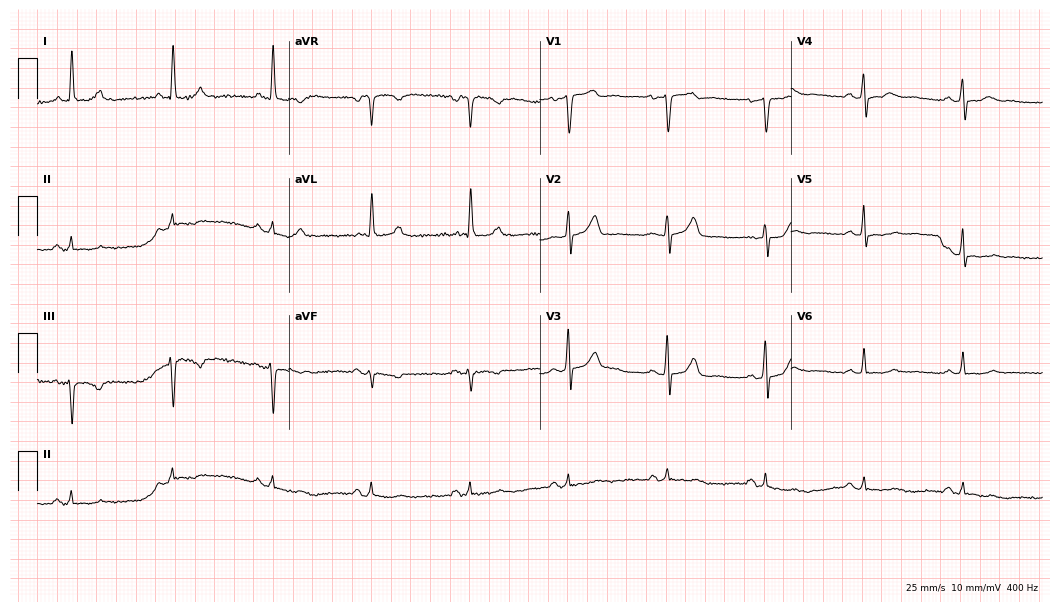
Standard 12-lead ECG recorded from a 65-year-old man. Read as a normal ECG.